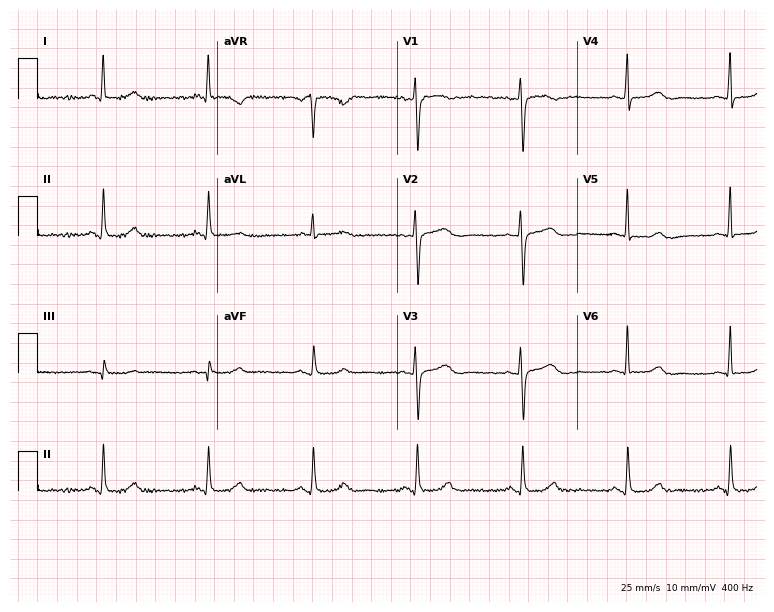
12-lead ECG from a 54-year-old female (7.3-second recording at 400 Hz). Recorded interpretation: within normal limits.